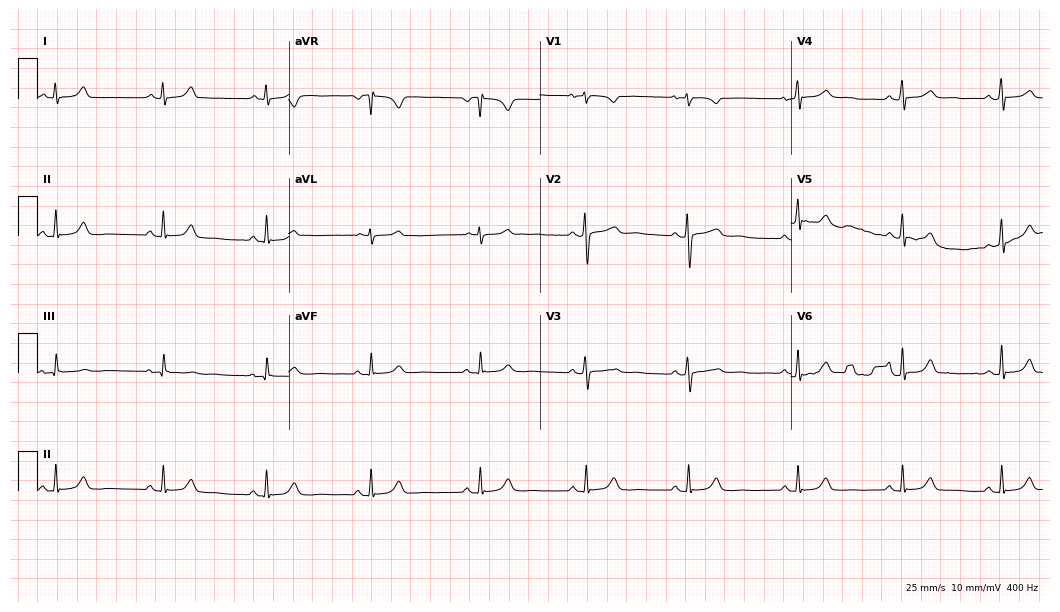
12-lead ECG (10.2-second recording at 400 Hz) from a 30-year-old female. Labelled as a normal ECG.